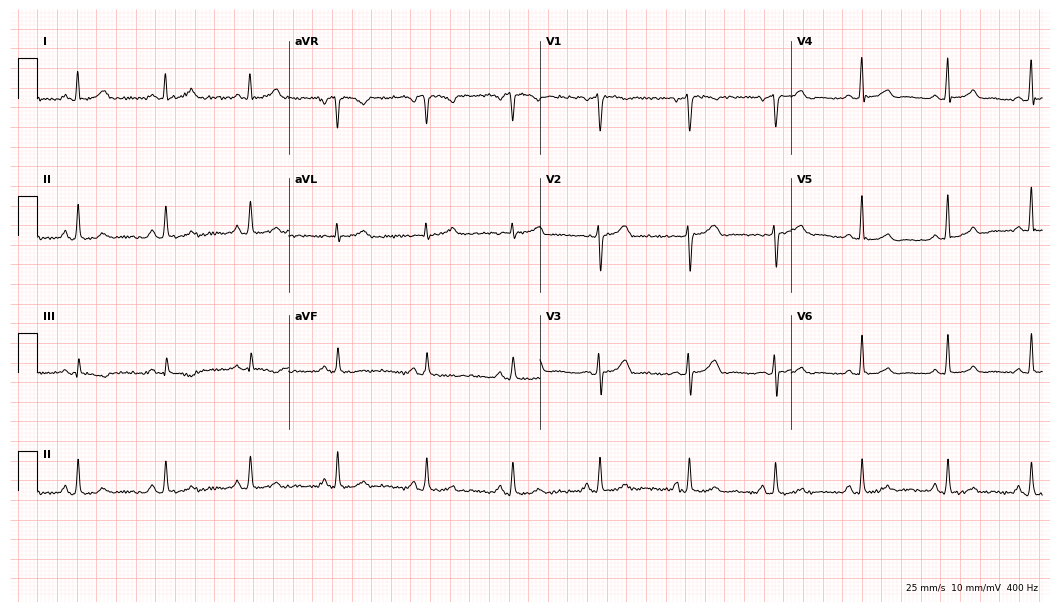
Standard 12-lead ECG recorded from a female, 55 years old (10.2-second recording at 400 Hz). Read as a normal ECG.